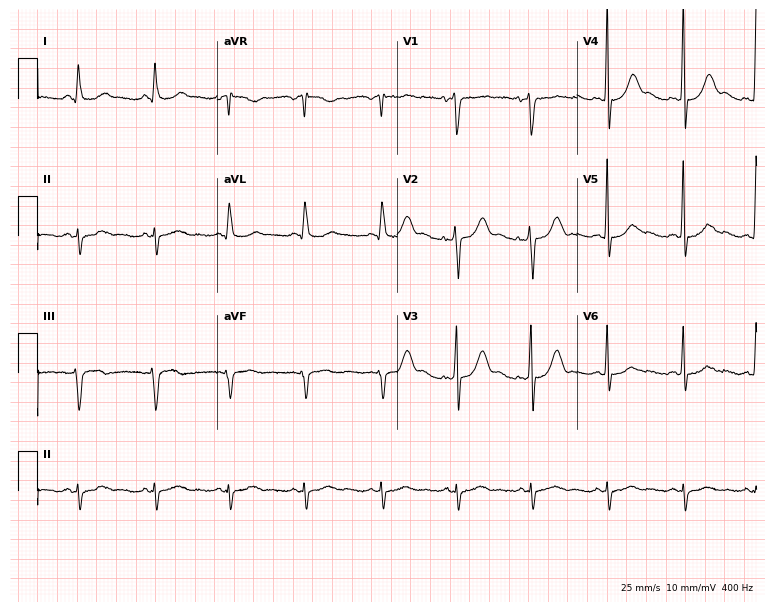
12-lead ECG from a male, 51 years old. No first-degree AV block, right bundle branch block, left bundle branch block, sinus bradycardia, atrial fibrillation or sinus tachycardia recorded for this tracing. Other findings, if any, are not listed.